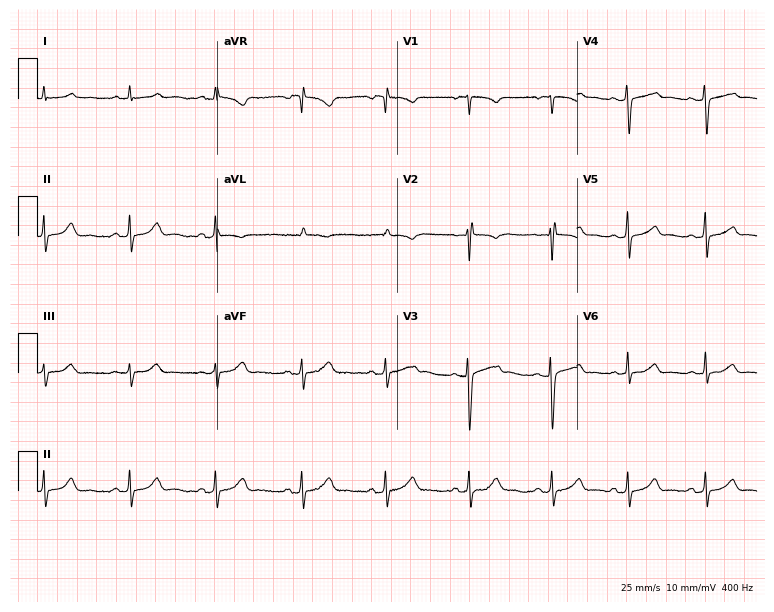
12-lead ECG (7.3-second recording at 400 Hz) from a female, 20 years old. Labelled as a normal ECG.